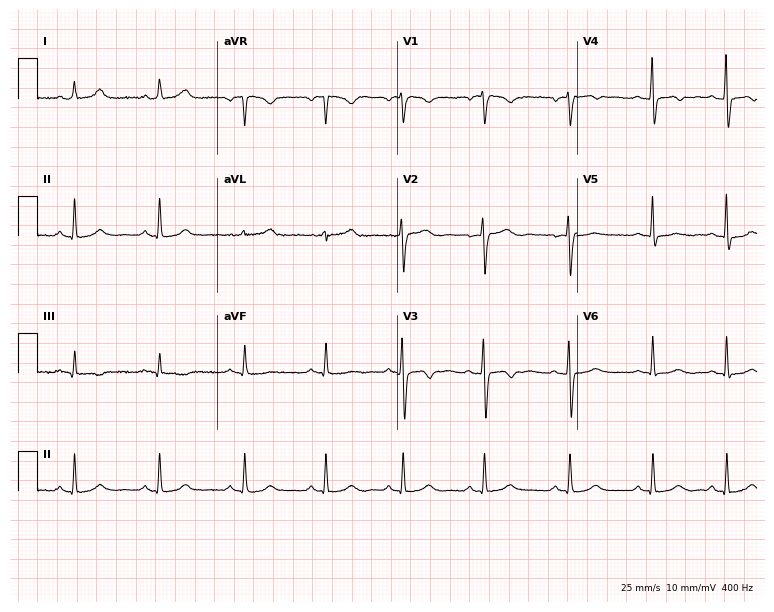
ECG (7.3-second recording at 400 Hz) — a 38-year-old woman. Labelled as a normal ECG.